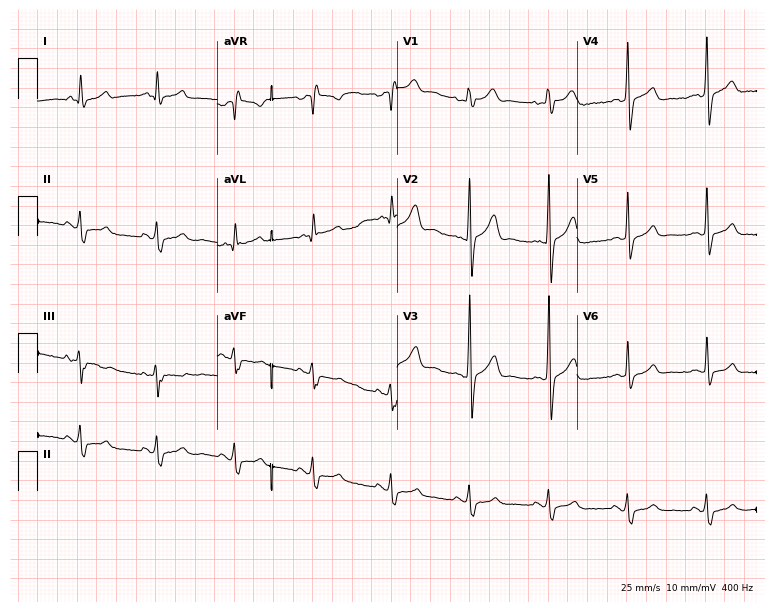
ECG — a 21-year-old man. Screened for six findings — first-degree AV block, right bundle branch block, left bundle branch block, sinus bradycardia, atrial fibrillation, sinus tachycardia — none is recorded. Only these six findings were labelled.